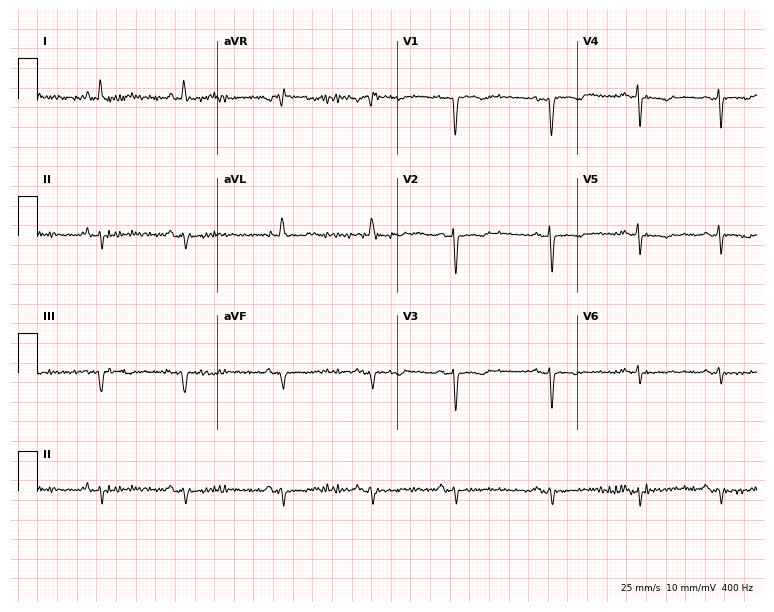
Standard 12-lead ECG recorded from a female patient, 72 years old (7.3-second recording at 400 Hz). None of these six findings is recorded: first-degree AV block, right bundle branch block (RBBB), left bundle branch block (LBBB), sinus bradycardia, atrial fibrillation (AF), sinus tachycardia. Only these six findings were labelled.